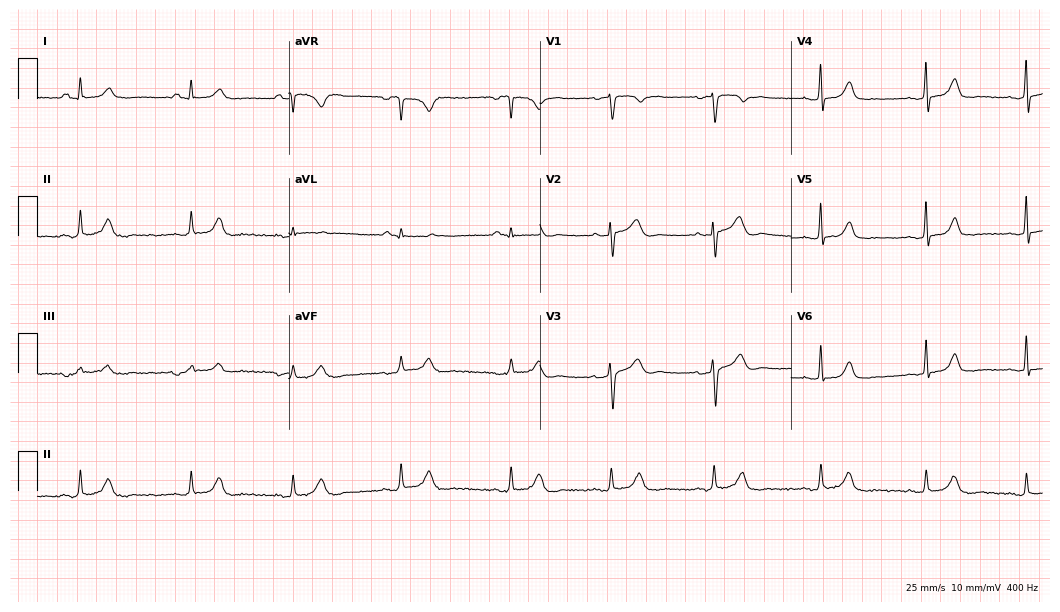
Electrocardiogram (10.2-second recording at 400 Hz), a 48-year-old man. Overall reading on record: normal ECG.